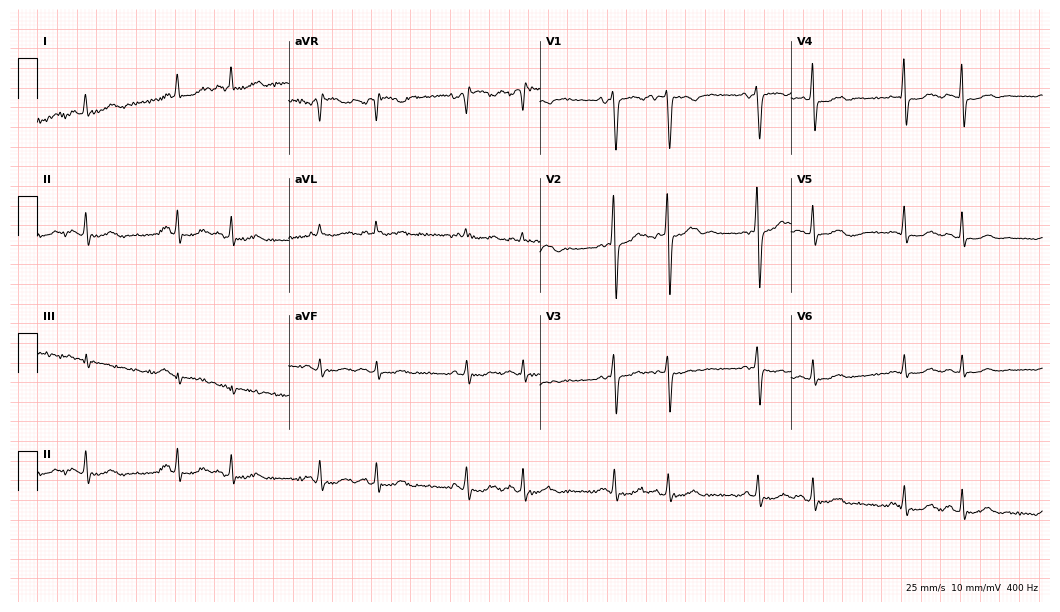
Standard 12-lead ECG recorded from a female patient, 80 years old. None of these six findings is recorded: first-degree AV block, right bundle branch block, left bundle branch block, sinus bradycardia, atrial fibrillation, sinus tachycardia. Findings outside these six are not listed.